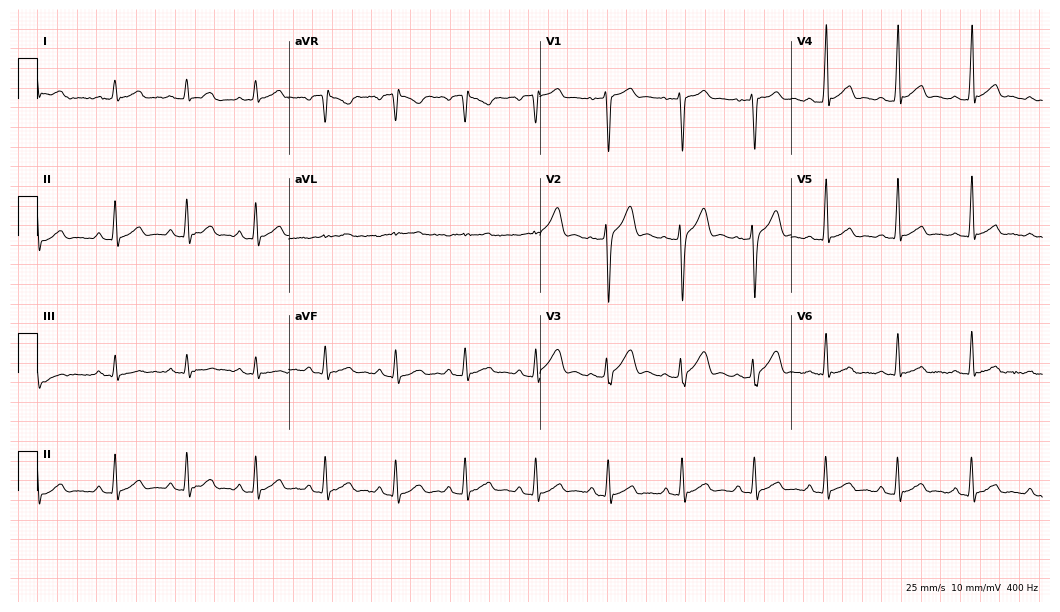
12-lead ECG from a male patient, 24 years old. Recorded interpretation: within normal limits.